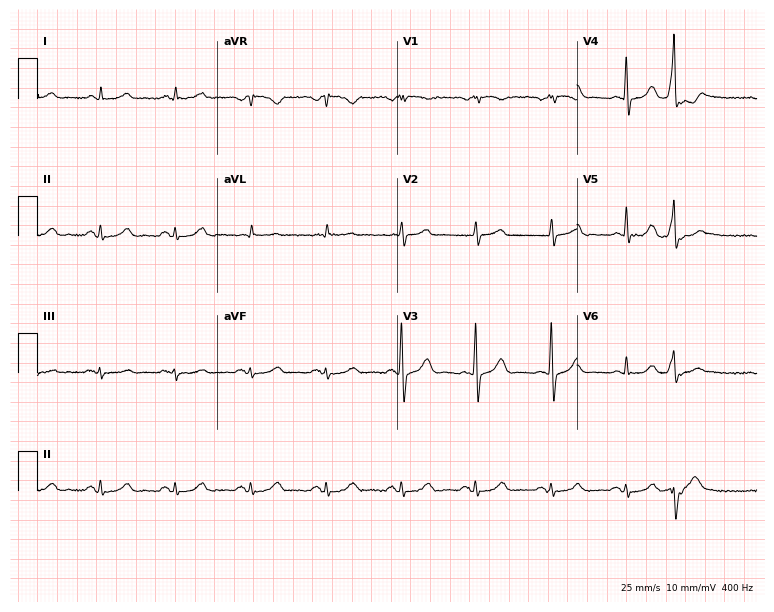
Resting 12-lead electrocardiogram (7.3-second recording at 400 Hz). Patient: an 83-year-old male. None of these six findings is recorded: first-degree AV block, right bundle branch block (RBBB), left bundle branch block (LBBB), sinus bradycardia, atrial fibrillation (AF), sinus tachycardia. Only these six findings were labelled.